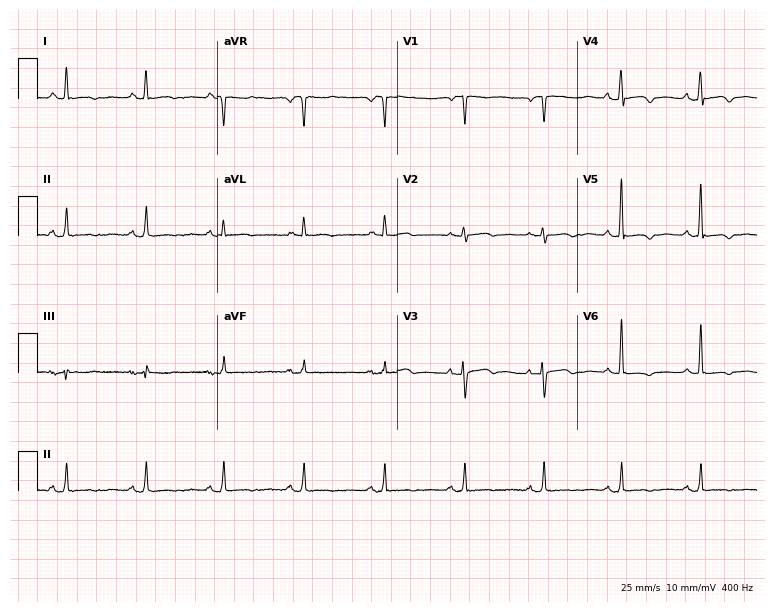
12-lead ECG from a 71-year-old female patient. Screened for six findings — first-degree AV block, right bundle branch block, left bundle branch block, sinus bradycardia, atrial fibrillation, sinus tachycardia — none is recorded. Only these six findings were labelled.